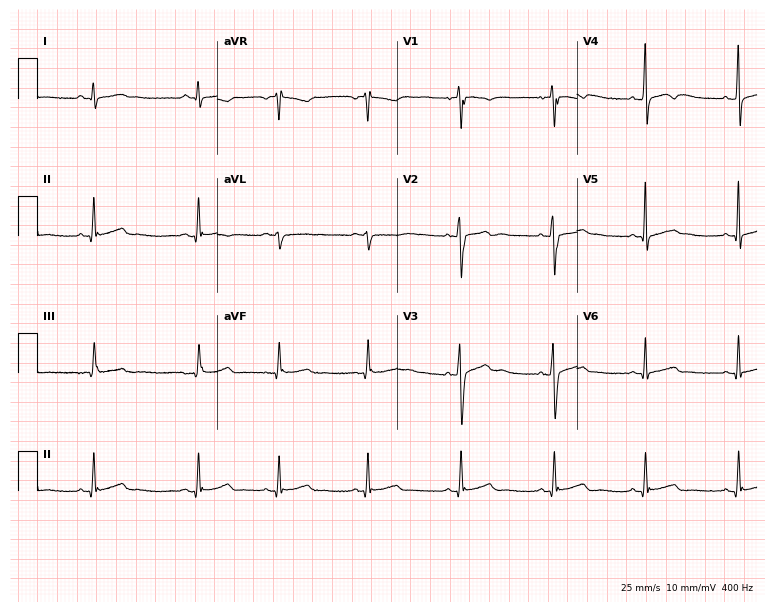
Electrocardiogram (7.3-second recording at 400 Hz), a male patient, 19 years old. Overall reading on record: normal ECG.